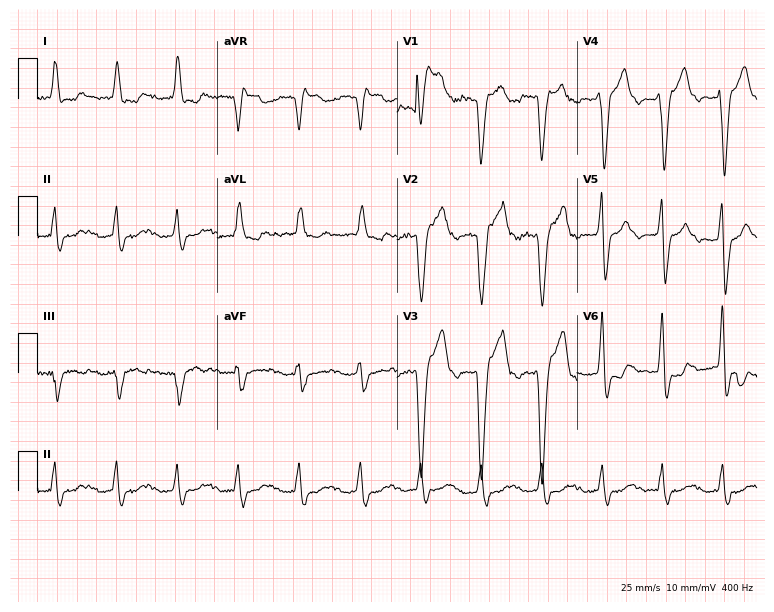
12-lead ECG (7.3-second recording at 400 Hz) from a male patient, 84 years old. Findings include left bundle branch block, atrial fibrillation.